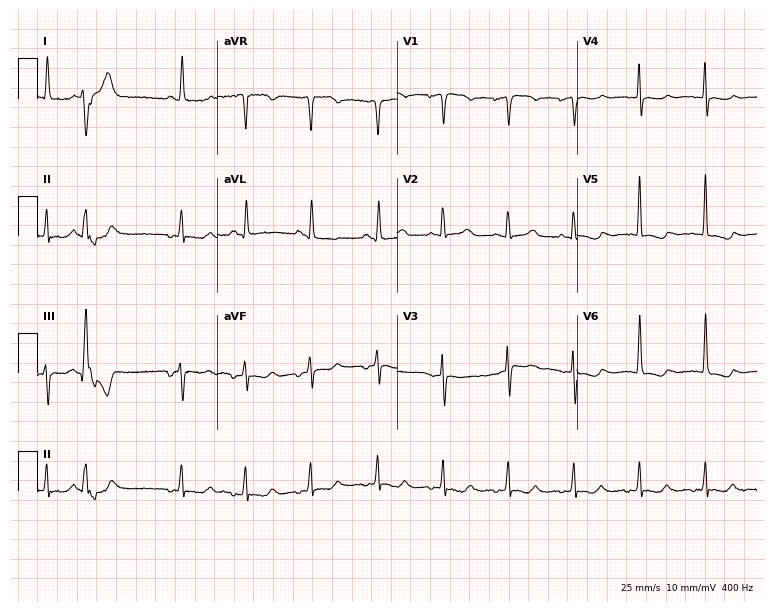
12-lead ECG from a female, 83 years old (7.3-second recording at 400 Hz). No first-degree AV block, right bundle branch block, left bundle branch block, sinus bradycardia, atrial fibrillation or sinus tachycardia recorded for this tracing. Other findings, if any, are not listed.